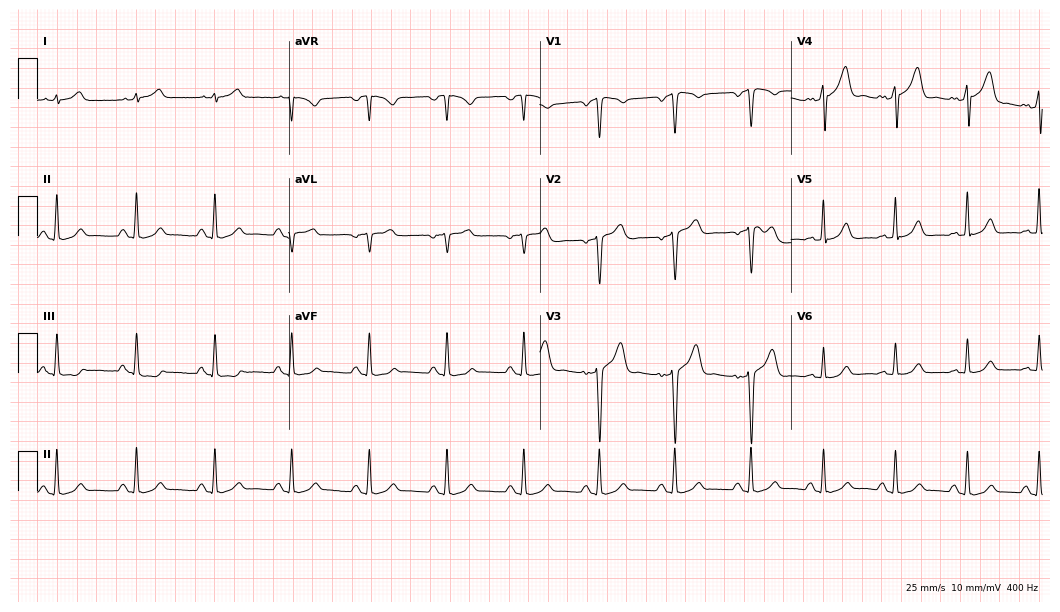
Resting 12-lead electrocardiogram (10.2-second recording at 400 Hz). Patient: a 55-year-old man. Read as a normal ECG.